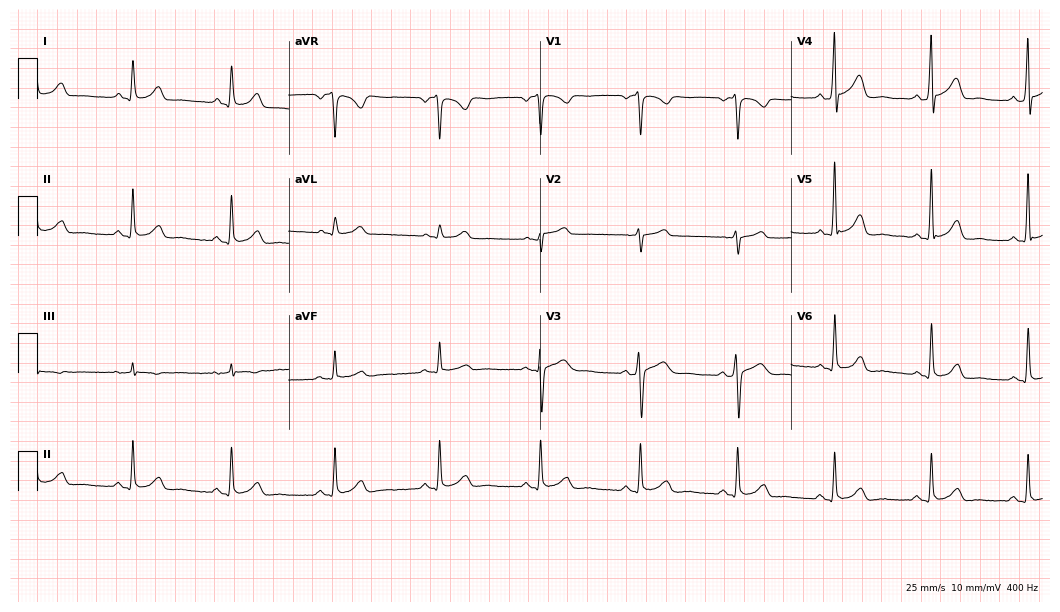
Resting 12-lead electrocardiogram (10.2-second recording at 400 Hz). Patient: a 46-year-old male. Read as a normal ECG.